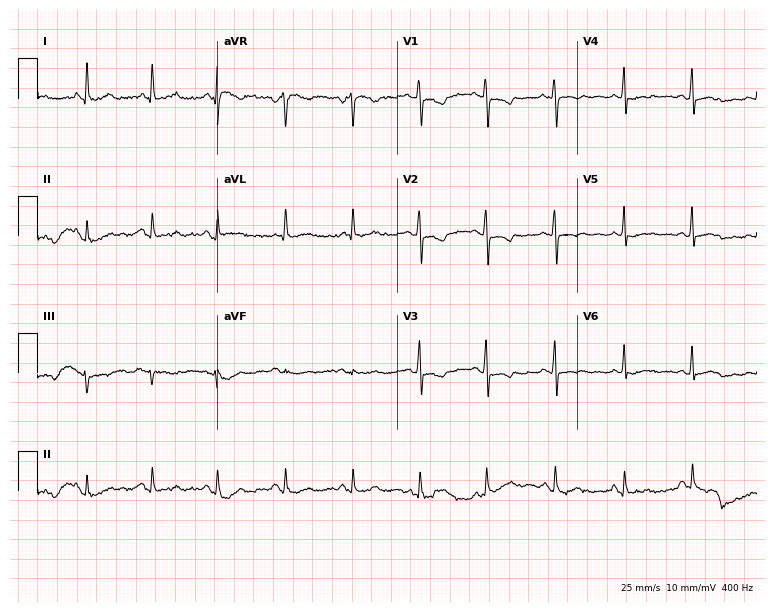
12-lead ECG from a 53-year-old female patient. Screened for six findings — first-degree AV block, right bundle branch block, left bundle branch block, sinus bradycardia, atrial fibrillation, sinus tachycardia — none is recorded.